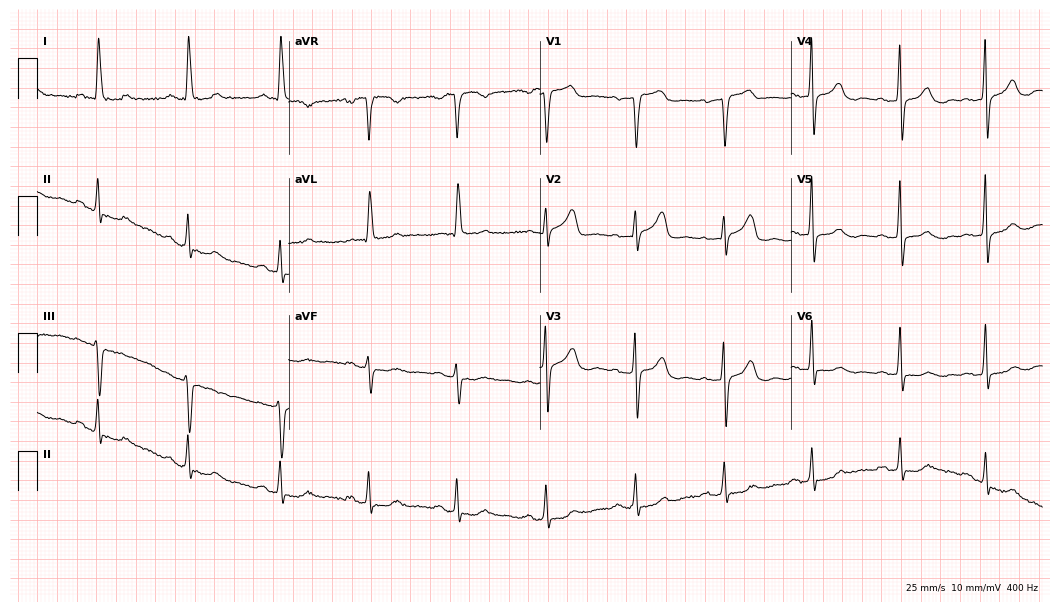
12-lead ECG from a female patient, 61 years old. Screened for six findings — first-degree AV block, right bundle branch block, left bundle branch block, sinus bradycardia, atrial fibrillation, sinus tachycardia — none is recorded. Only these six findings were labelled.